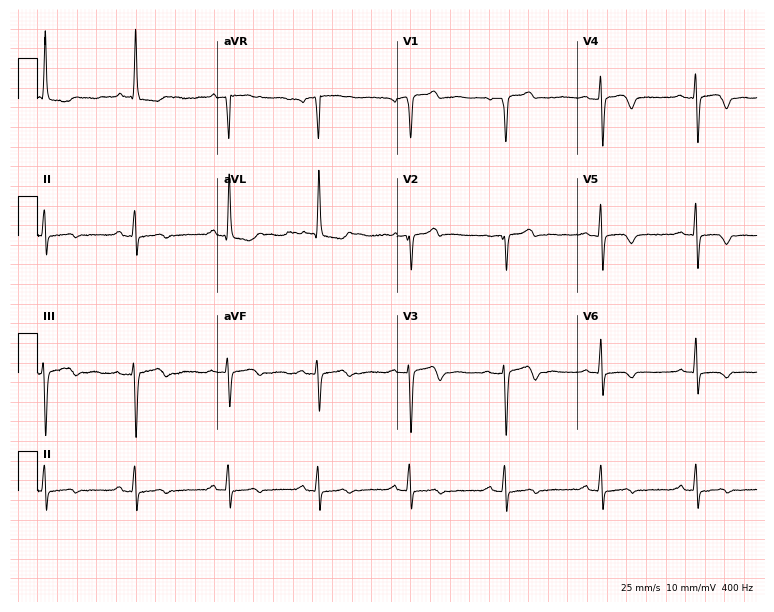
12-lead ECG from an 85-year-old female. Screened for six findings — first-degree AV block, right bundle branch block (RBBB), left bundle branch block (LBBB), sinus bradycardia, atrial fibrillation (AF), sinus tachycardia — none is recorded. Findings outside these six are not listed.